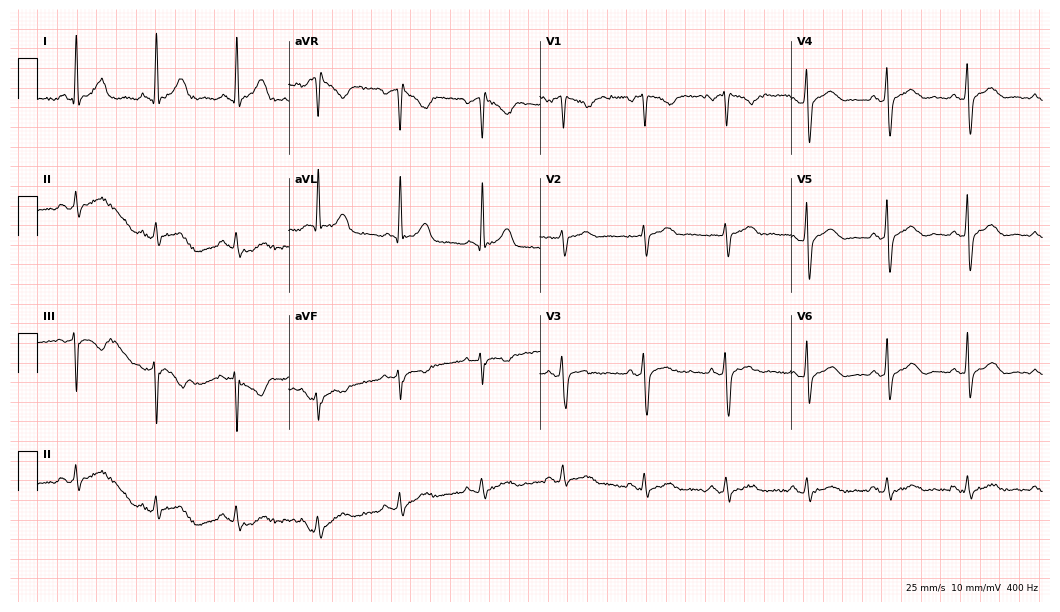
Standard 12-lead ECG recorded from a 75-year-old male (10.2-second recording at 400 Hz). Read as a normal ECG.